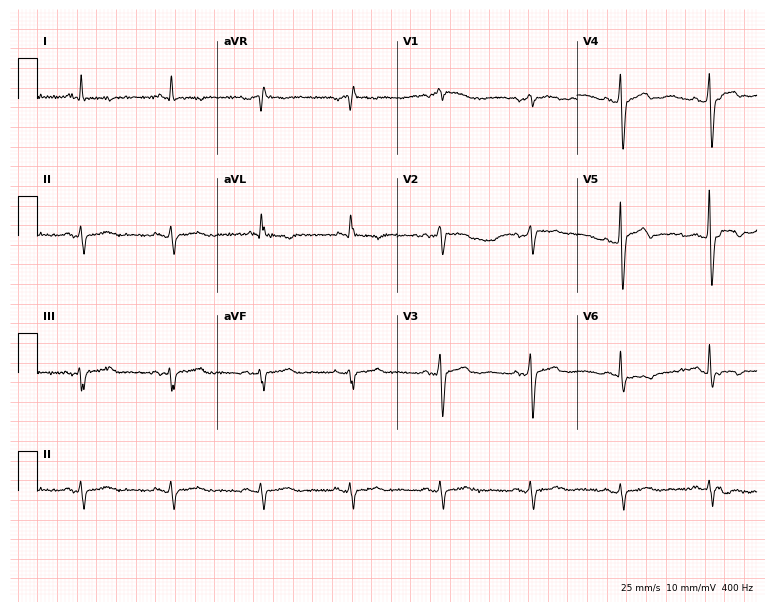
Resting 12-lead electrocardiogram (7.3-second recording at 400 Hz). Patient: a male, 82 years old. None of these six findings is recorded: first-degree AV block, right bundle branch block, left bundle branch block, sinus bradycardia, atrial fibrillation, sinus tachycardia.